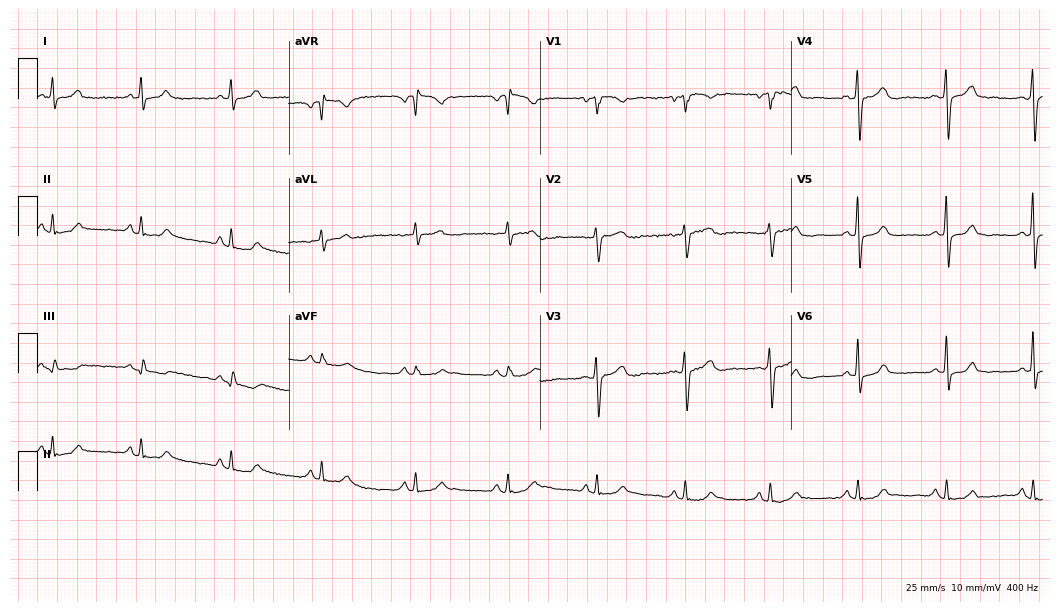
Electrocardiogram (10.2-second recording at 400 Hz), a woman, 48 years old. Overall reading on record: normal ECG.